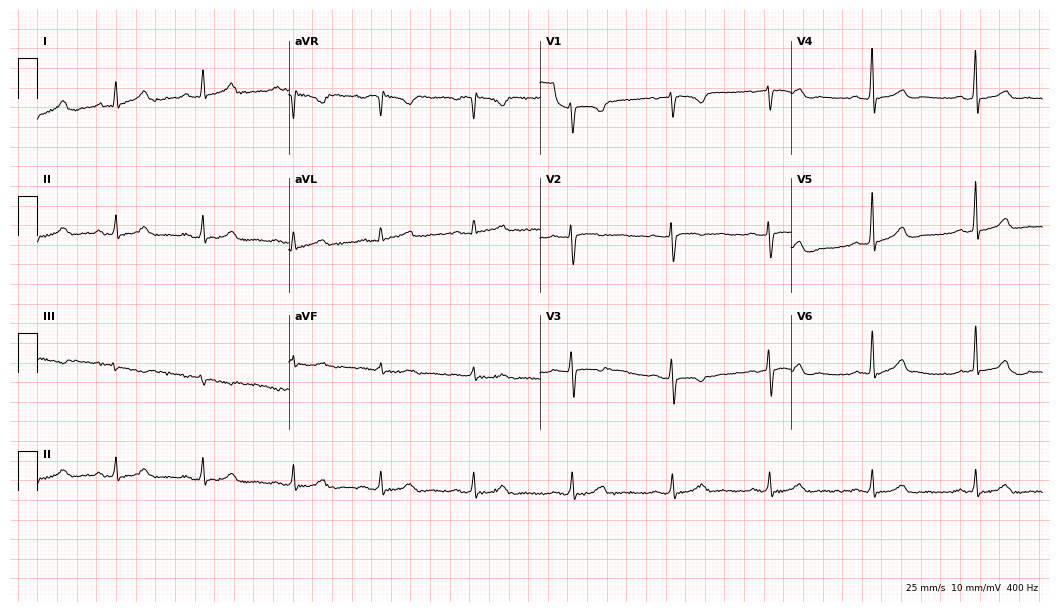
Electrocardiogram (10.2-second recording at 400 Hz), a 37-year-old female patient. Overall reading on record: normal ECG.